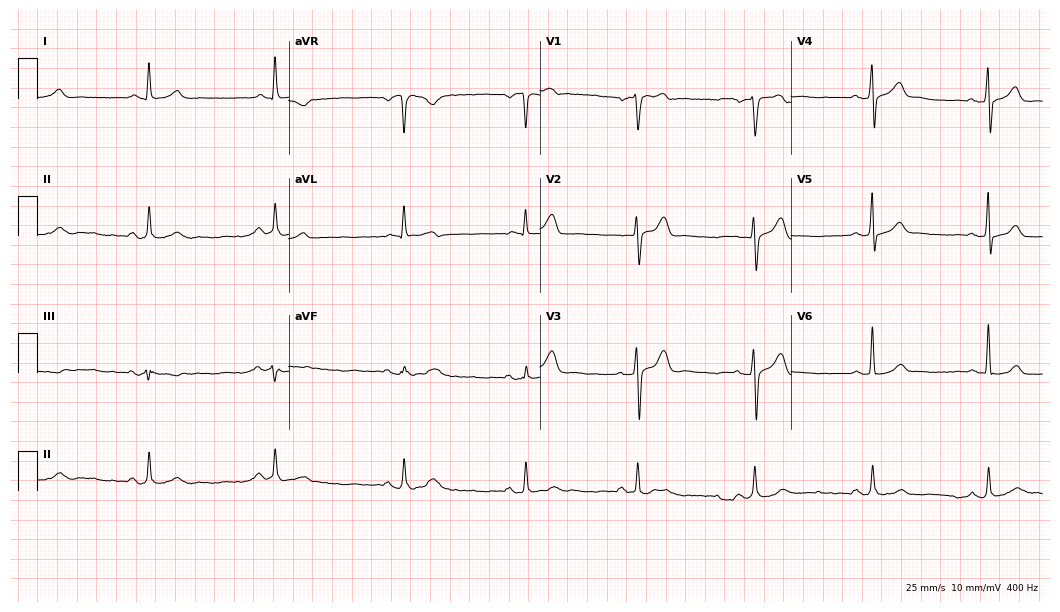
Resting 12-lead electrocardiogram. Patient: a 46-year-old male. The tracing shows sinus bradycardia (a sinus rate of 50 beats per minute or less).